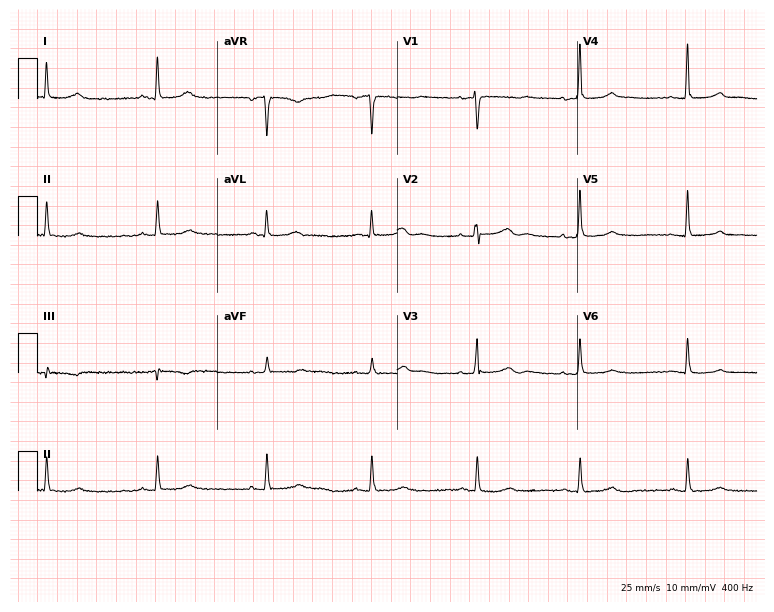
Standard 12-lead ECG recorded from a 73-year-old female patient (7.3-second recording at 400 Hz). None of these six findings is recorded: first-degree AV block, right bundle branch block, left bundle branch block, sinus bradycardia, atrial fibrillation, sinus tachycardia. Other findings, if any, are not listed.